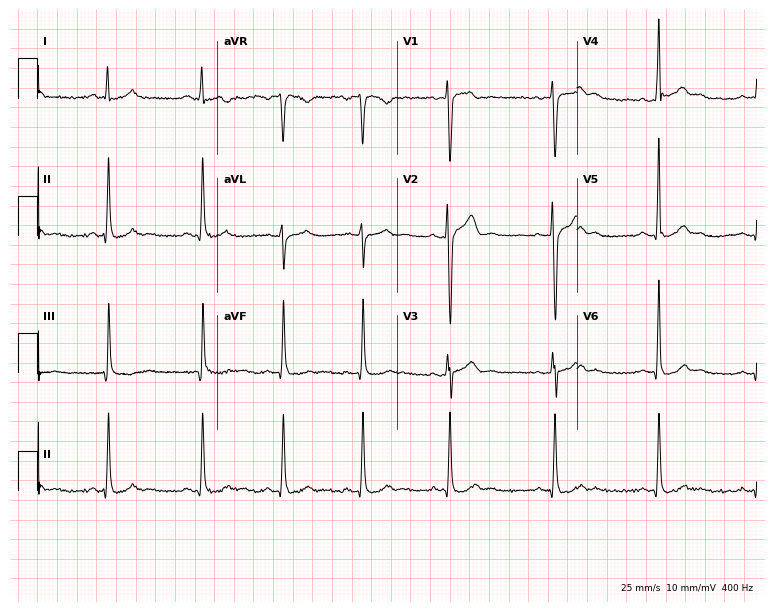
12-lead ECG from a man, 30 years old. Labelled as a normal ECG.